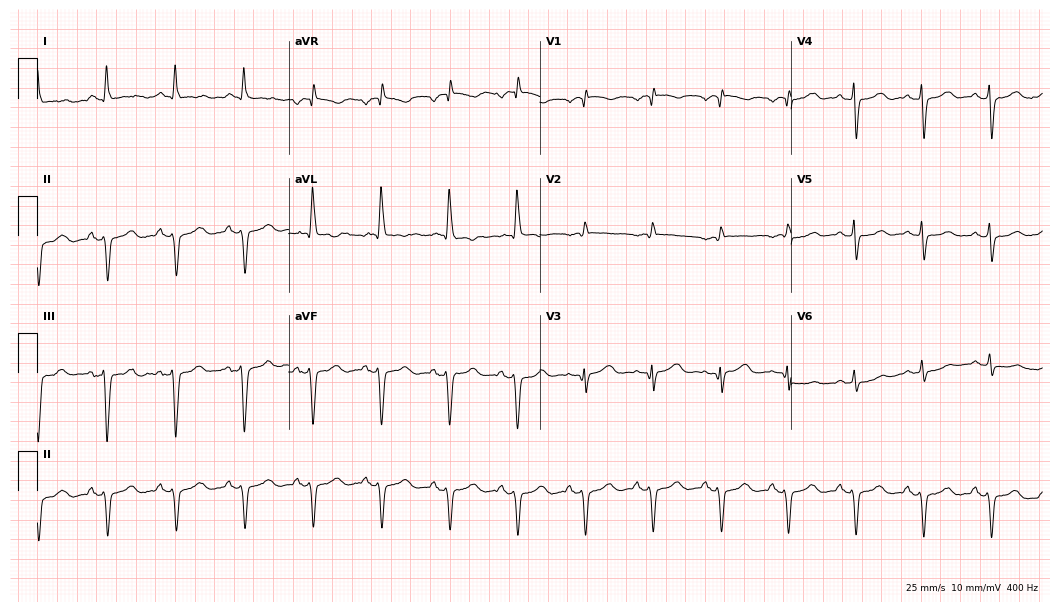
12-lead ECG from a woman, 68 years old. No first-degree AV block, right bundle branch block, left bundle branch block, sinus bradycardia, atrial fibrillation or sinus tachycardia recorded for this tracing.